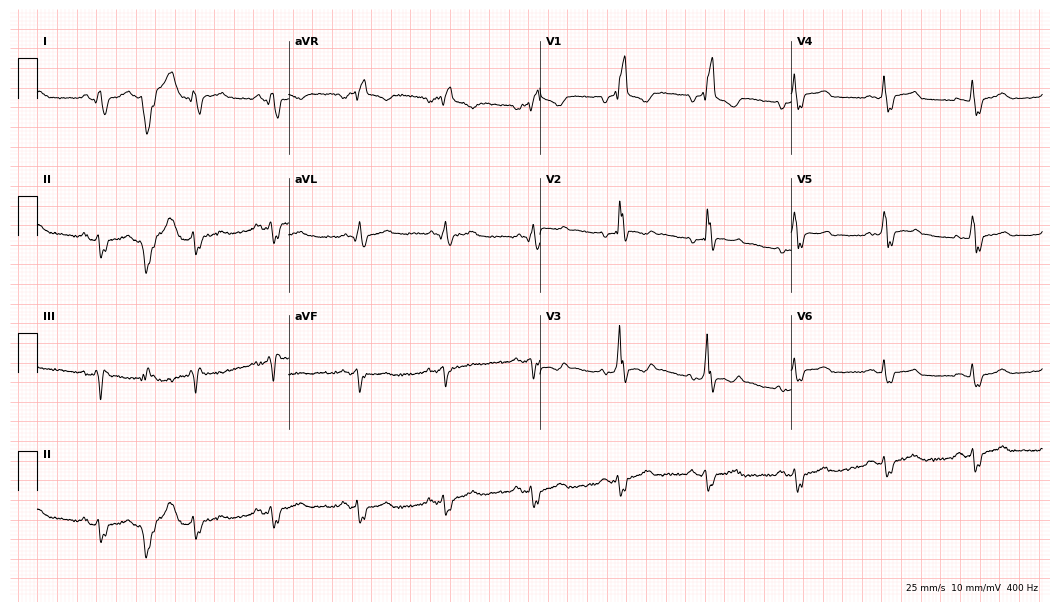
12-lead ECG (10.2-second recording at 400 Hz) from a 72-year-old male patient. Findings include right bundle branch block.